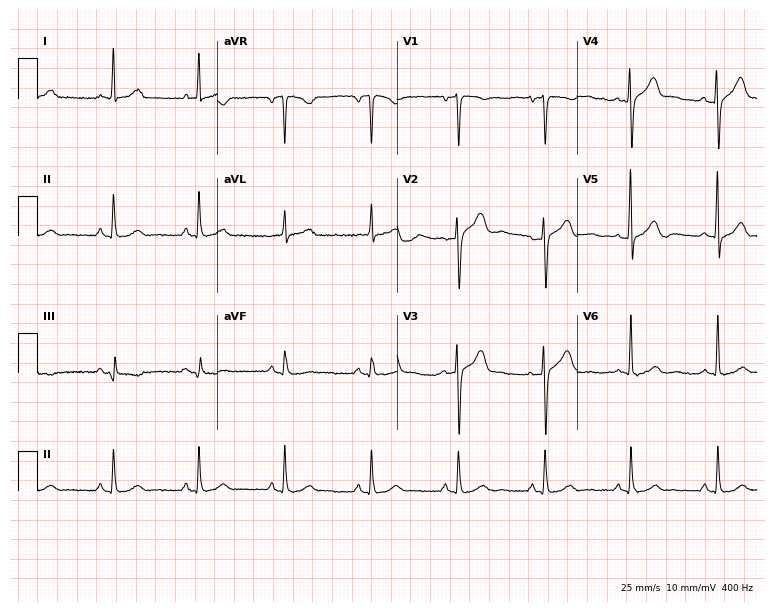
ECG (7.3-second recording at 400 Hz) — a female patient, 40 years old. Screened for six findings — first-degree AV block, right bundle branch block, left bundle branch block, sinus bradycardia, atrial fibrillation, sinus tachycardia — none is recorded. Findings outside these six are not listed.